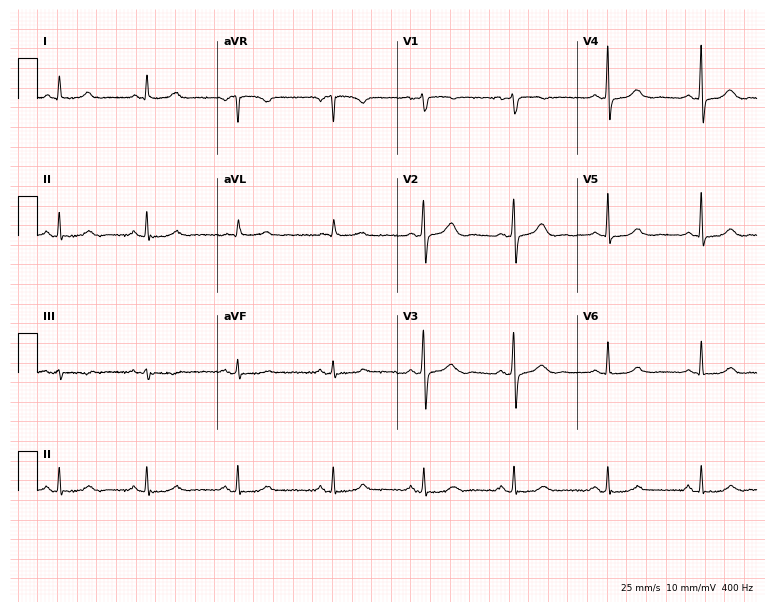
Standard 12-lead ECG recorded from a 56-year-old female patient (7.3-second recording at 400 Hz). None of these six findings is recorded: first-degree AV block, right bundle branch block (RBBB), left bundle branch block (LBBB), sinus bradycardia, atrial fibrillation (AF), sinus tachycardia. Other findings, if any, are not listed.